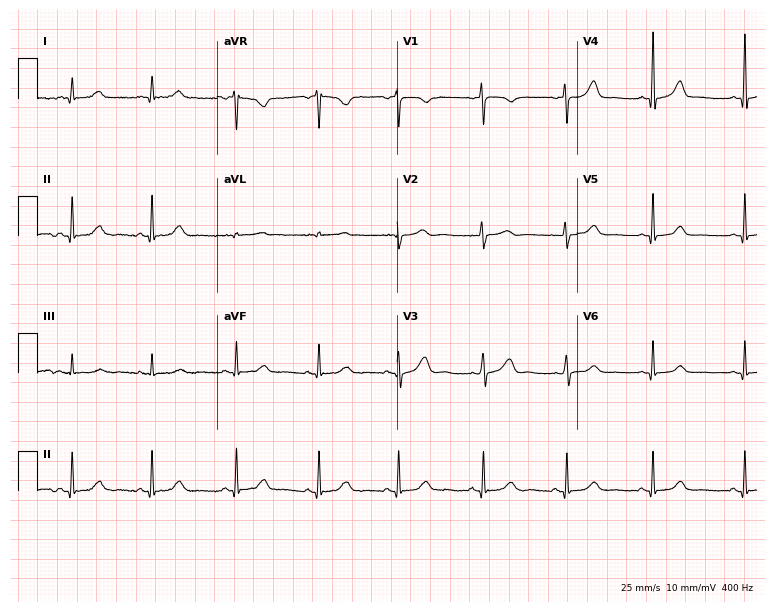
Standard 12-lead ECG recorded from a female patient, 45 years old (7.3-second recording at 400 Hz). None of these six findings is recorded: first-degree AV block, right bundle branch block (RBBB), left bundle branch block (LBBB), sinus bradycardia, atrial fibrillation (AF), sinus tachycardia. Other findings, if any, are not listed.